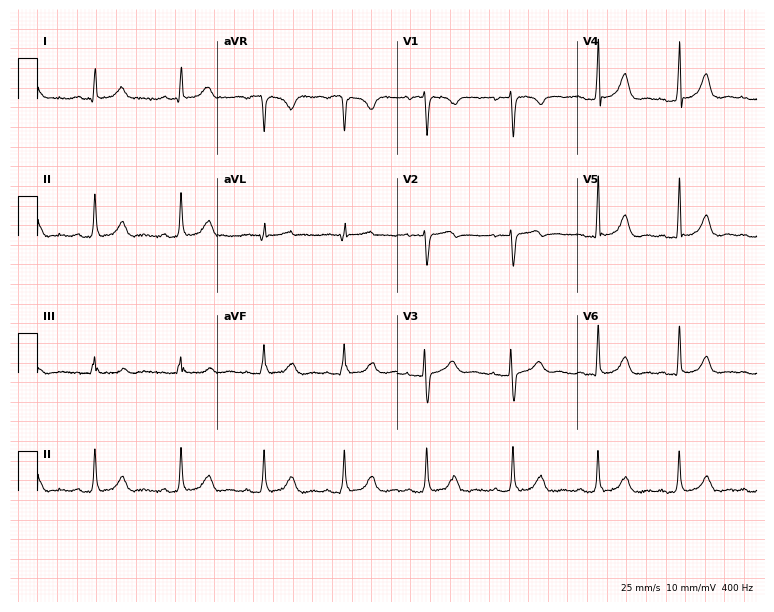
12-lead ECG from a 37-year-old female. Screened for six findings — first-degree AV block, right bundle branch block (RBBB), left bundle branch block (LBBB), sinus bradycardia, atrial fibrillation (AF), sinus tachycardia — none is recorded.